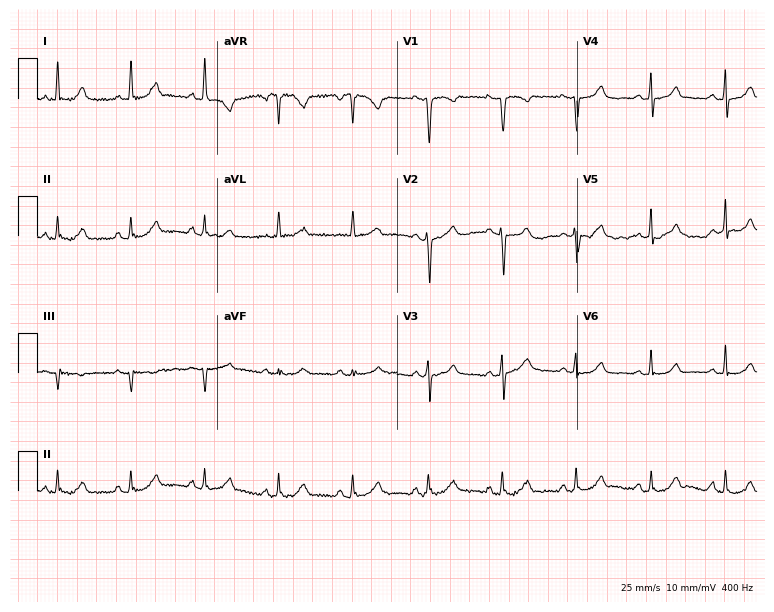
12-lead ECG from a female, 77 years old. Recorded interpretation: within normal limits.